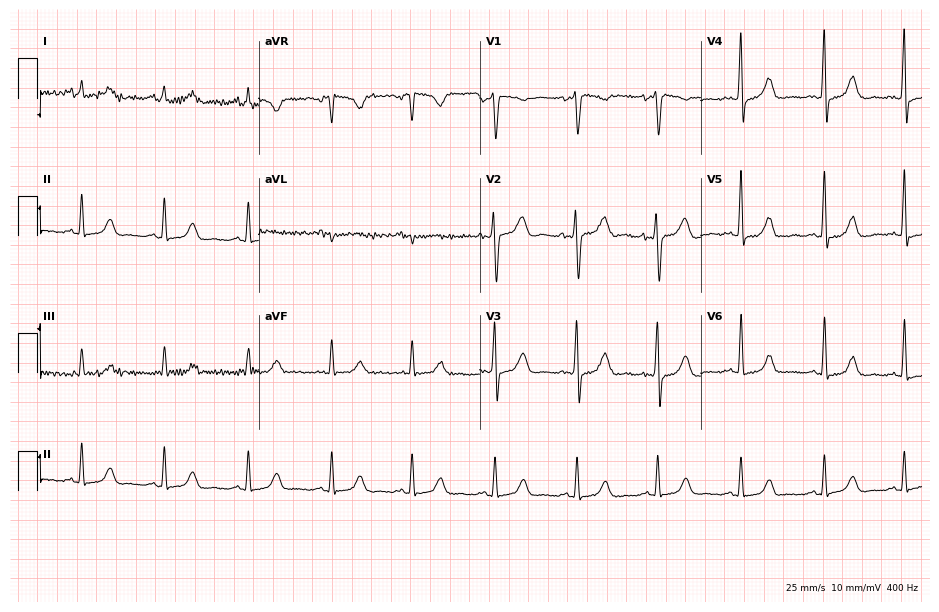
Electrocardiogram, a female, 35 years old. Overall reading on record: normal ECG.